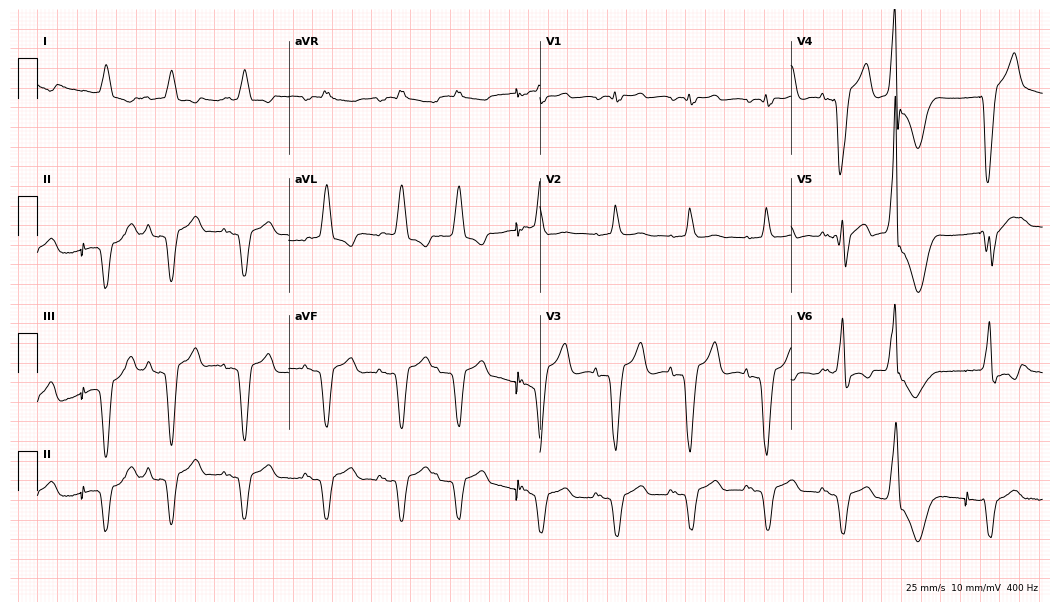
Resting 12-lead electrocardiogram. Patient: an 80-year-old man. None of these six findings is recorded: first-degree AV block, right bundle branch block, left bundle branch block, sinus bradycardia, atrial fibrillation, sinus tachycardia. Findings outside these six are not listed.